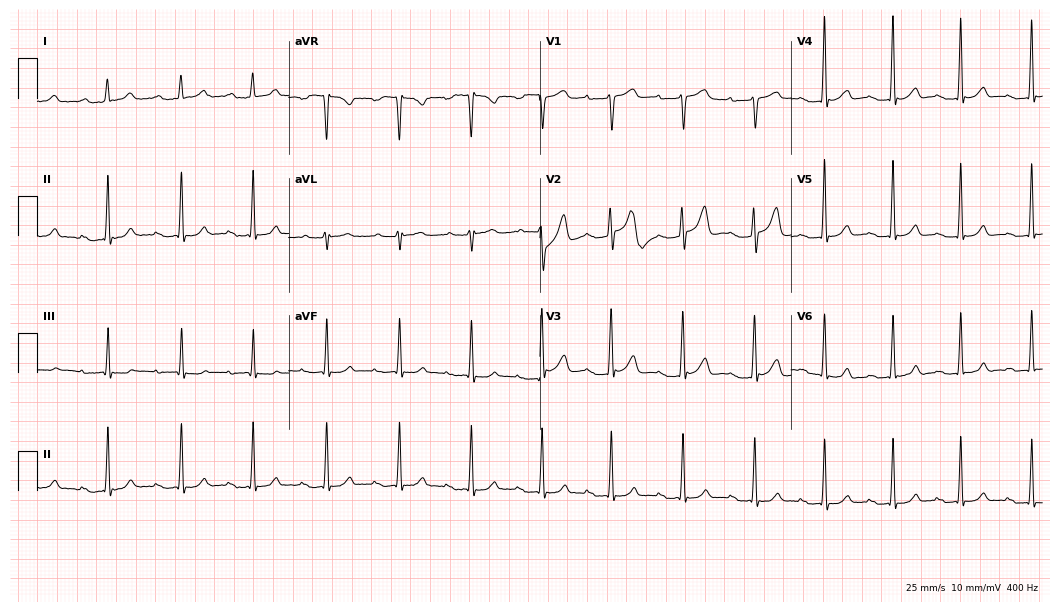
Electrocardiogram, a 32-year-old female patient. Of the six screened findings (first-degree AV block, right bundle branch block (RBBB), left bundle branch block (LBBB), sinus bradycardia, atrial fibrillation (AF), sinus tachycardia), none is recorded. Only these six findings were labelled.